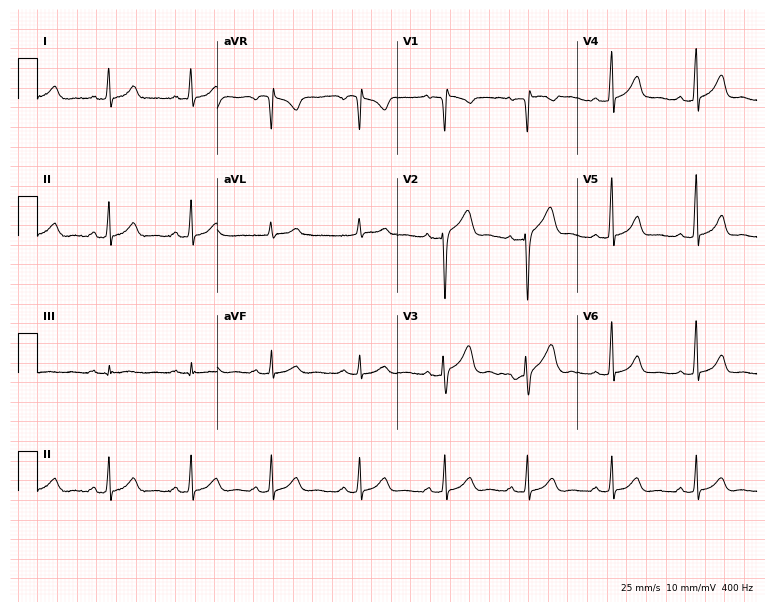
Resting 12-lead electrocardiogram (7.3-second recording at 400 Hz). Patient: a man, 28 years old. Read as a normal ECG.